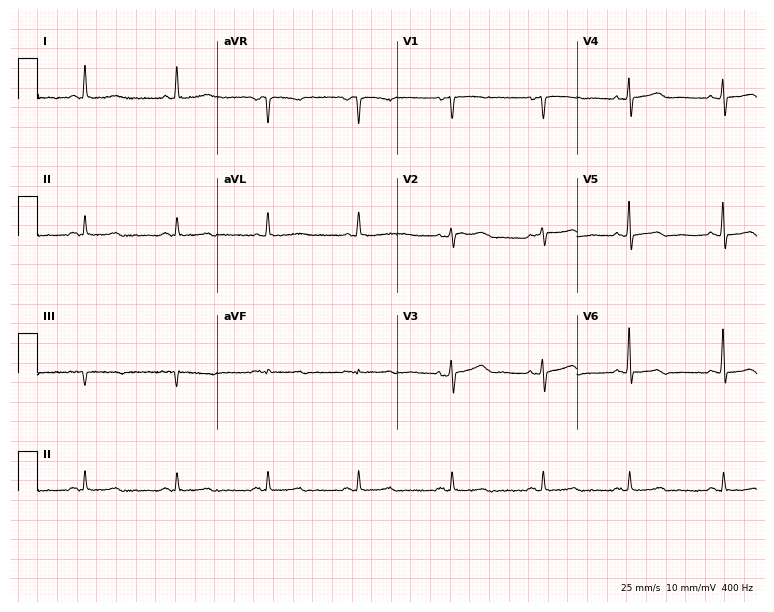
ECG (7.3-second recording at 400 Hz) — a woman, 78 years old. Screened for six findings — first-degree AV block, right bundle branch block, left bundle branch block, sinus bradycardia, atrial fibrillation, sinus tachycardia — none is recorded. Findings outside these six are not listed.